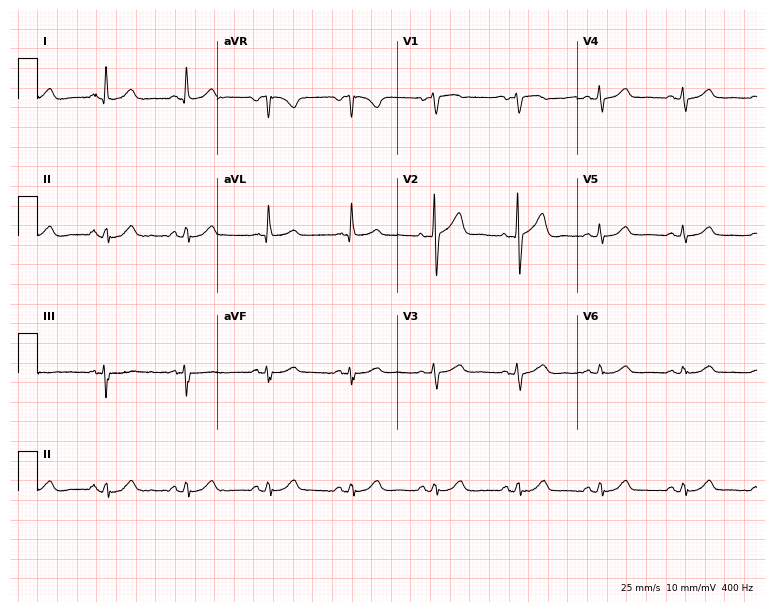
Standard 12-lead ECG recorded from a female, 74 years old. Read as a normal ECG.